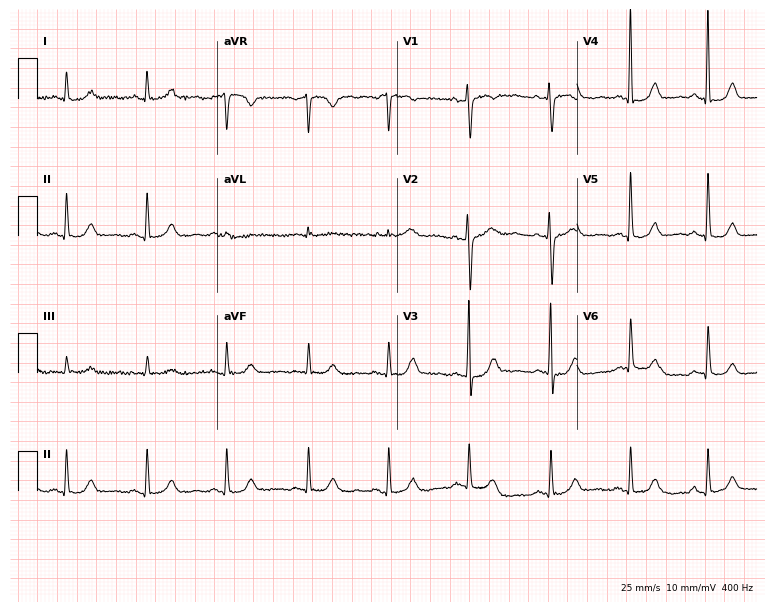
Resting 12-lead electrocardiogram (7.3-second recording at 400 Hz). Patient: a female, 72 years old. None of these six findings is recorded: first-degree AV block, right bundle branch block, left bundle branch block, sinus bradycardia, atrial fibrillation, sinus tachycardia.